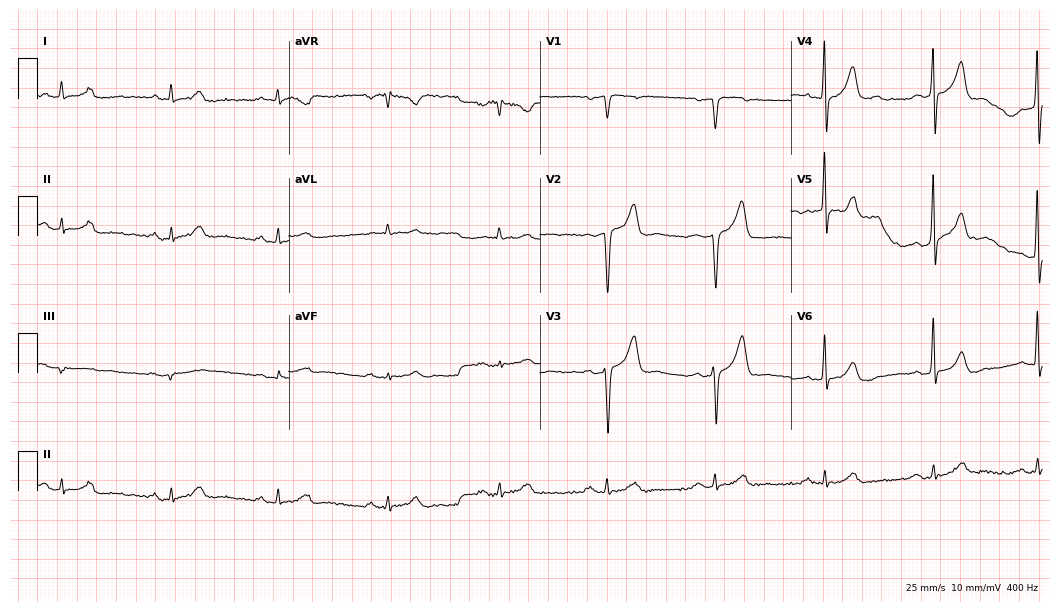
ECG — a 68-year-old male patient. Screened for six findings — first-degree AV block, right bundle branch block, left bundle branch block, sinus bradycardia, atrial fibrillation, sinus tachycardia — none is recorded. Findings outside these six are not listed.